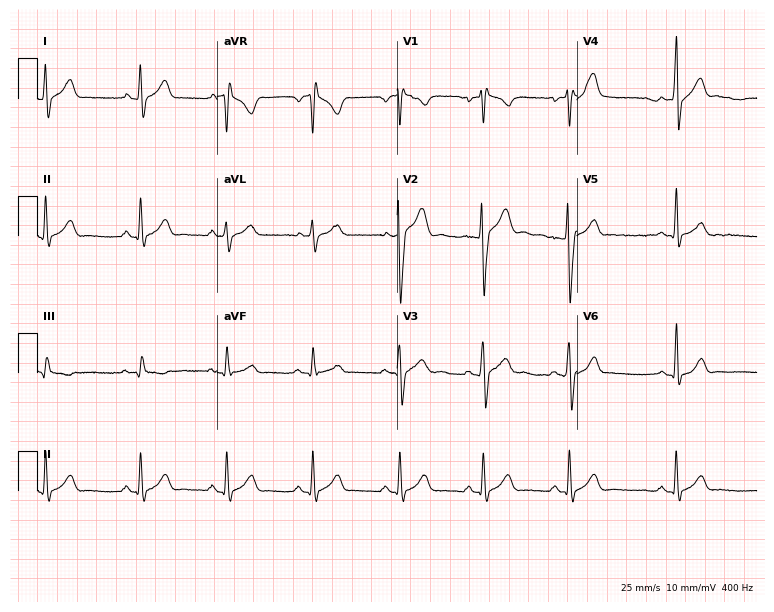
ECG — a 20-year-old male. Screened for six findings — first-degree AV block, right bundle branch block, left bundle branch block, sinus bradycardia, atrial fibrillation, sinus tachycardia — none is recorded.